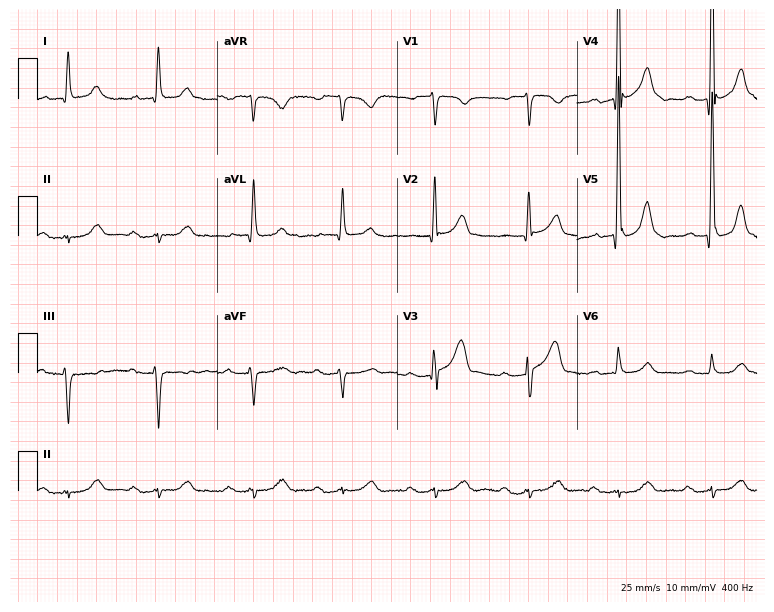
Electrocardiogram, a 79-year-old male. Of the six screened findings (first-degree AV block, right bundle branch block (RBBB), left bundle branch block (LBBB), sinus bradycardia, atrial fibrillation (AF), sinus tachycardia), none is recorded.